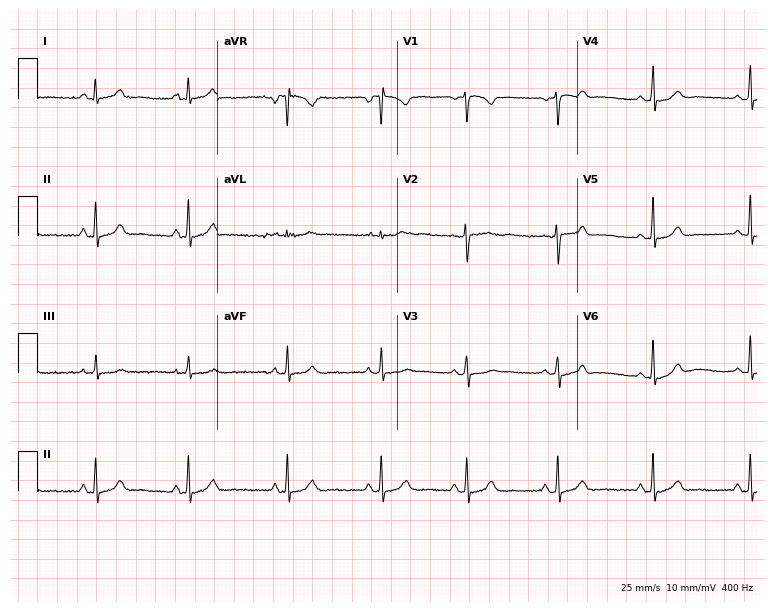
12-lead ECG from a 21-year-old female patient. Recorded interpretation: within normal limits.